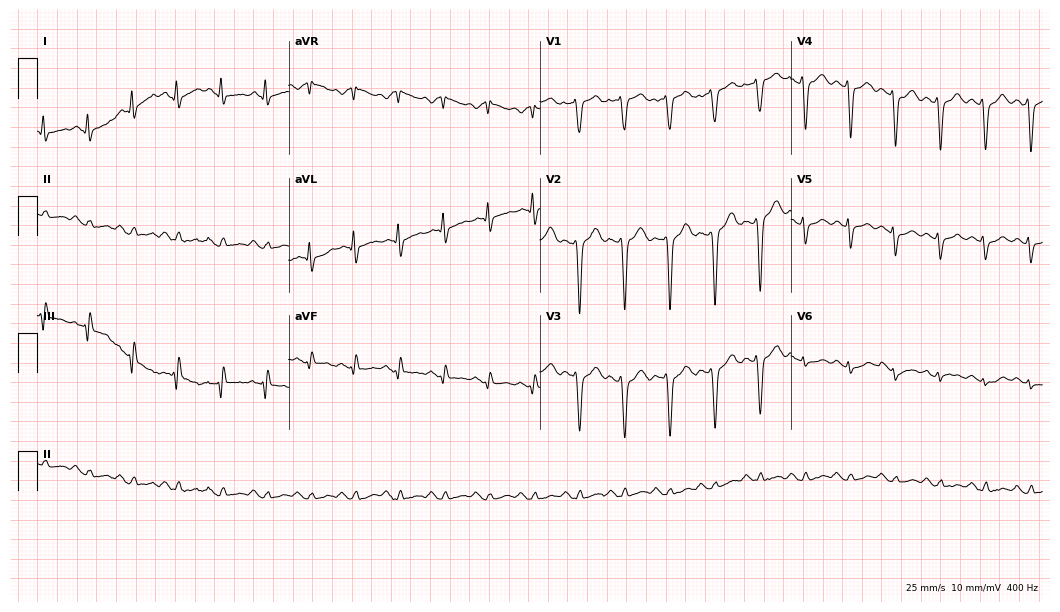
ECG (10.2-second recording at 400 Hz) — a male patient, 42 years old. Findings include sinus tachycardia (a sinus rate of 100 beats per minute or more).